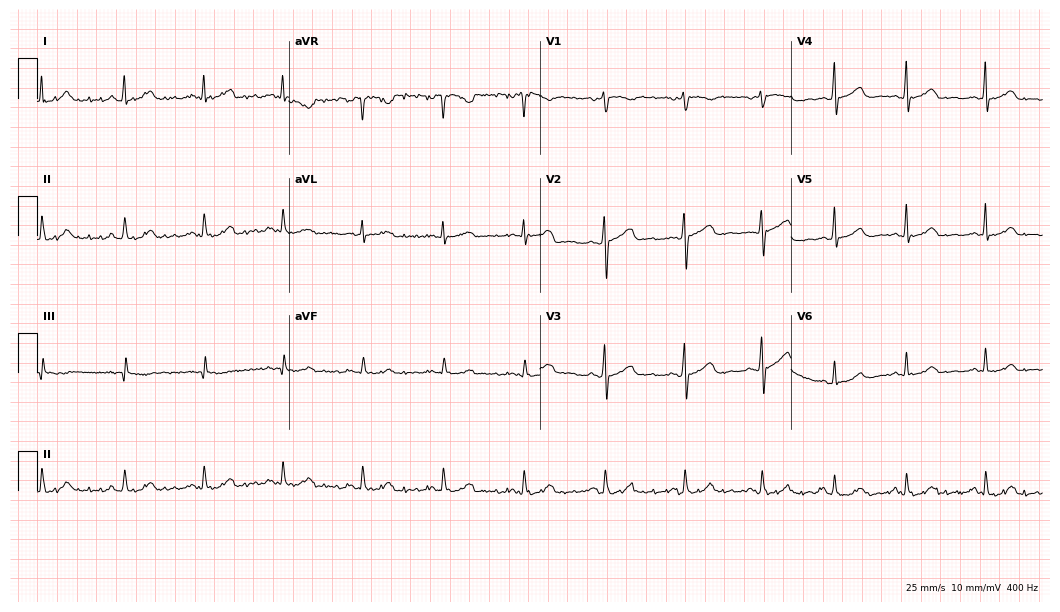
Resting 12-lead electrocardiogram. Patient: a female, 43 years old. Read as a normal ECG.